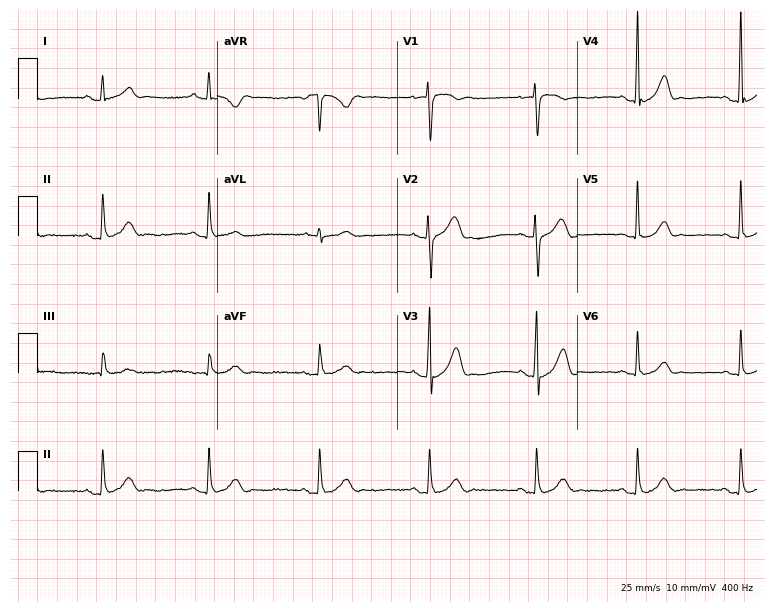
12-lead ECG (7.3-second recording at 400 Hz) from a 48-year-old man. Labelled as a normal ECG.